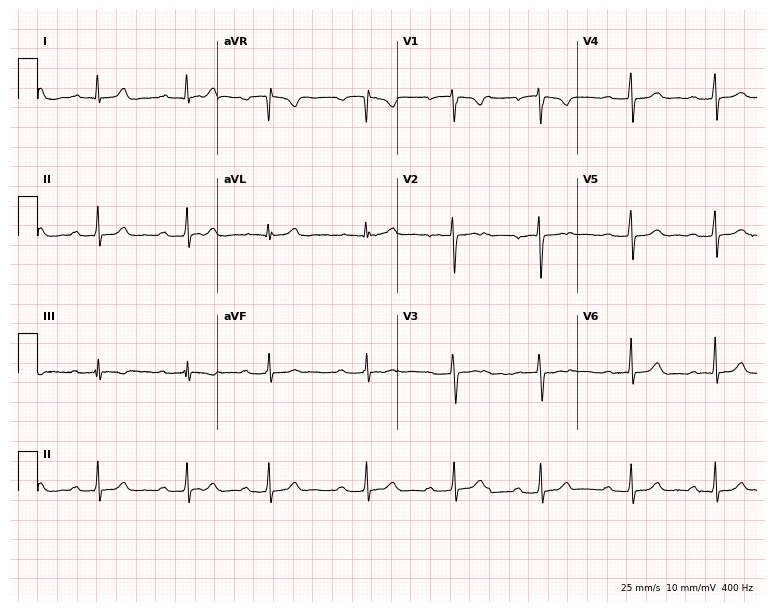
Electrocardiogram (7.3-second recording at 400 Hz), a female patient, 25 years old. Interpretation includes first-degree AV block.